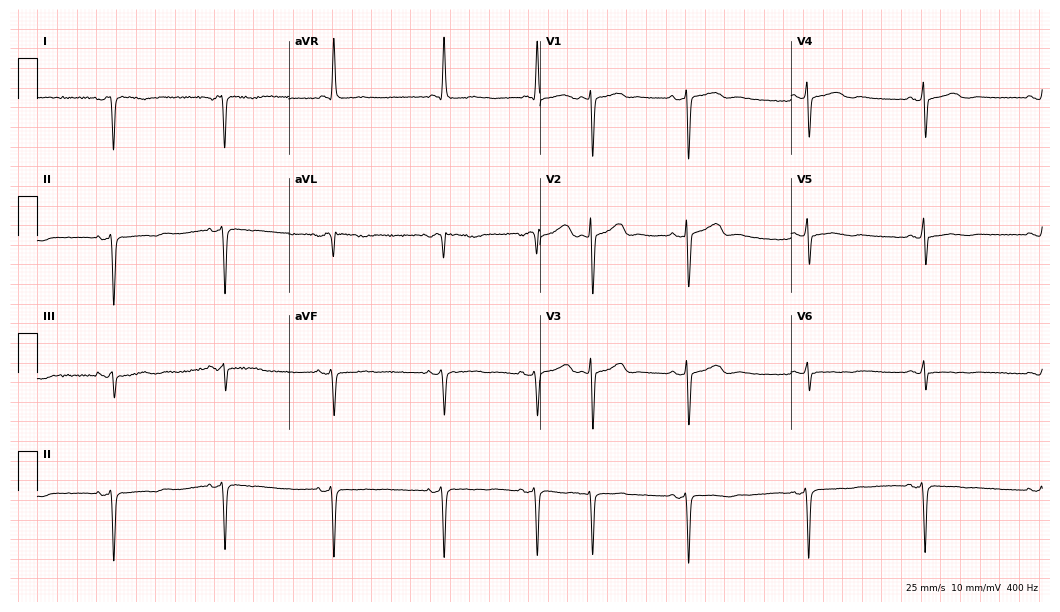
12-lead ECG from an 81-year-old female. Screened for six findings — first-degree AV block, right bundle branch block (RBBB), left bundle branch block (LBBB), sinus bradycardia, atrial fibrillation (AF), sinus tachycardia — none is recorded. Findings outside these six are not listed.